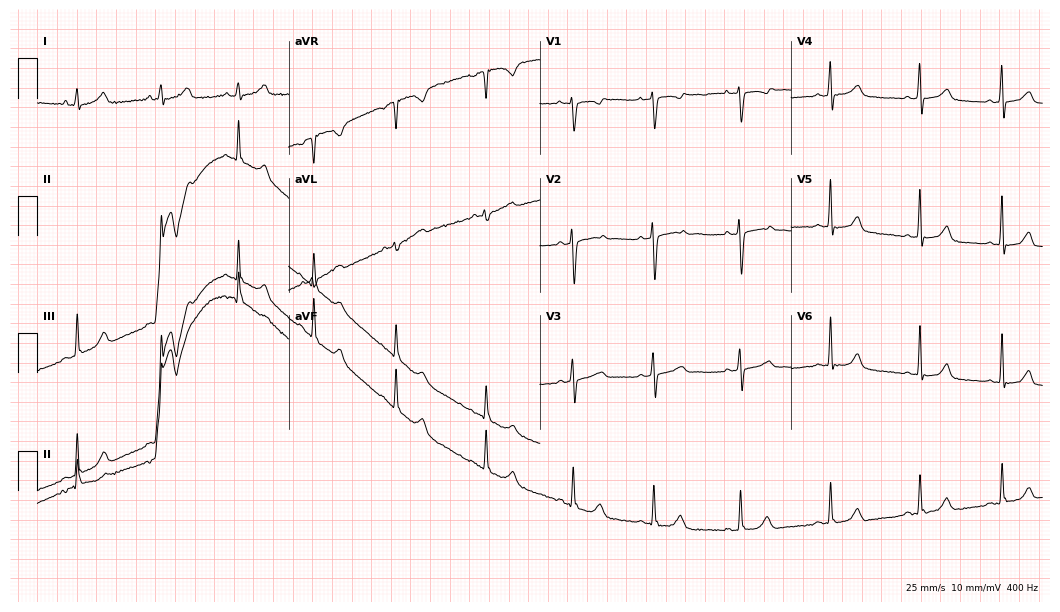
ECG — a 17-year-old woman. Labelled as a normal ECG.